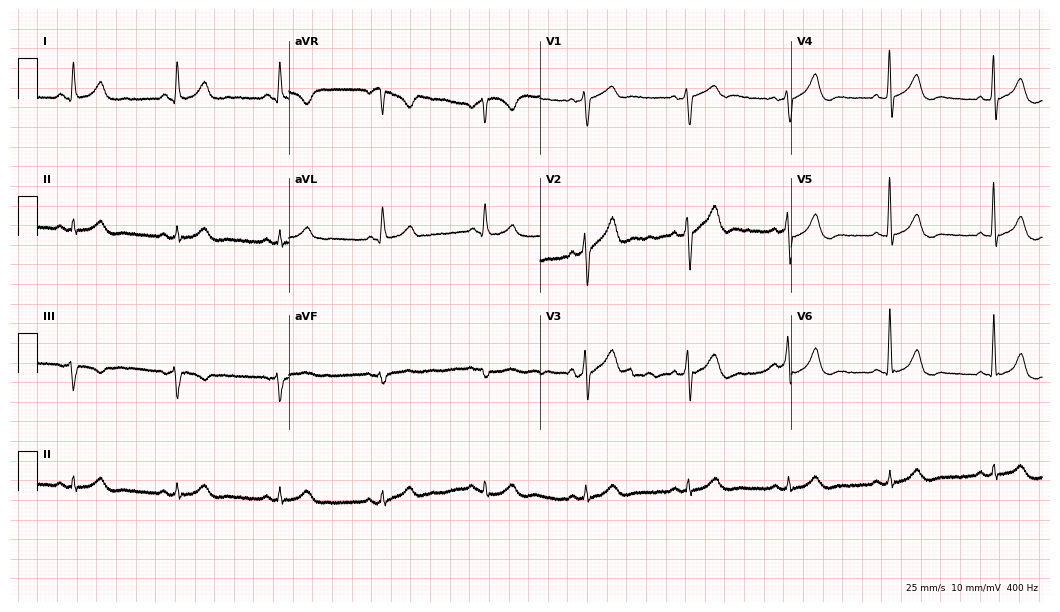
Resting 12-lead electrocardiogram. Patient: a 65-year-old male. Read as a normal ECG.